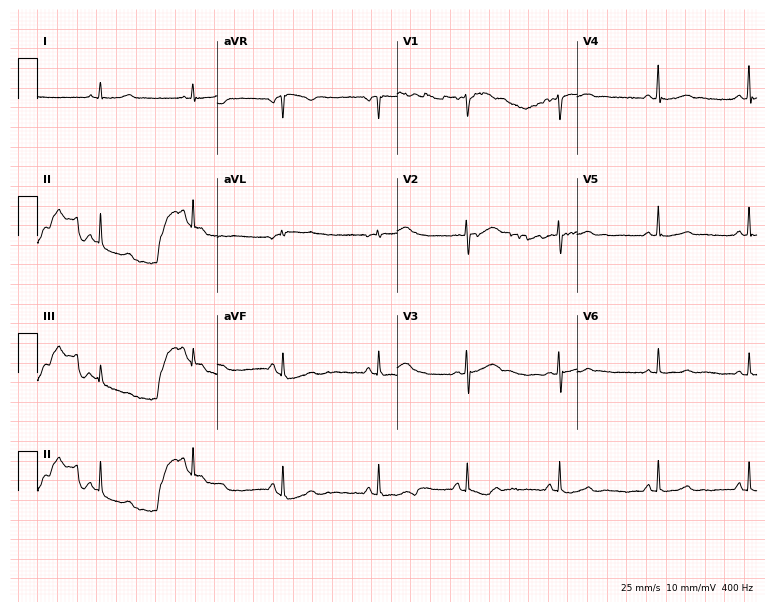
Electrocardiogram, a 20-year-old woman. Overall reading on record: normal ECG.